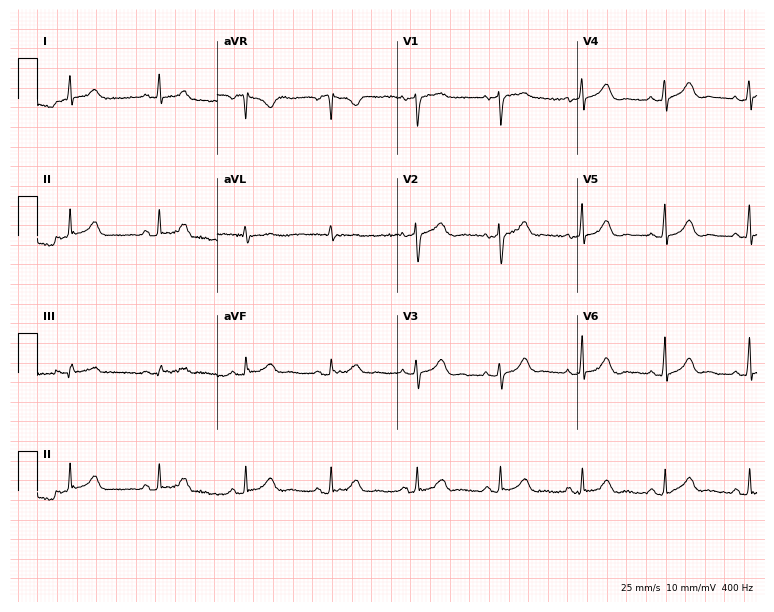
Electrocardiogram (7.3-second recording at 400 Hz), a woman, 64 years old. Overall reading on record: normal ECG.